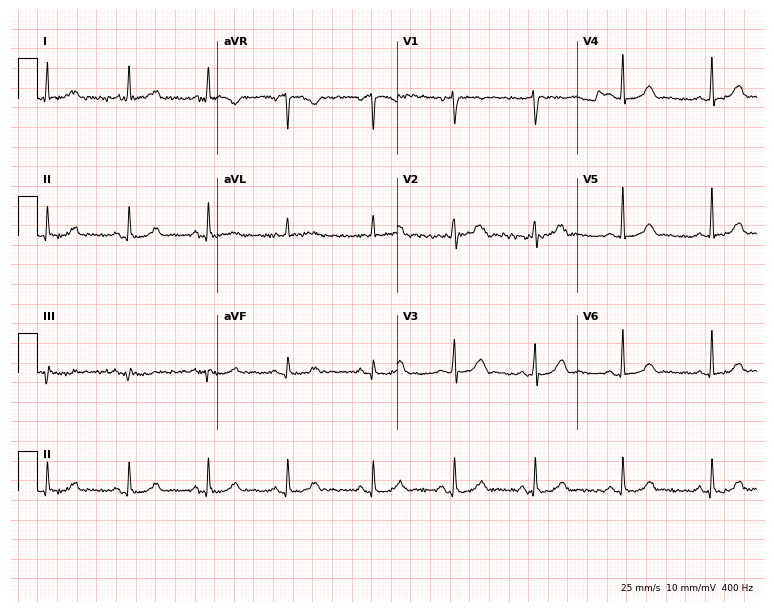
12-lead ECG (7.3-second recording at 400 Hz) from a female, 40 years old. Labelled as a normal ECG.